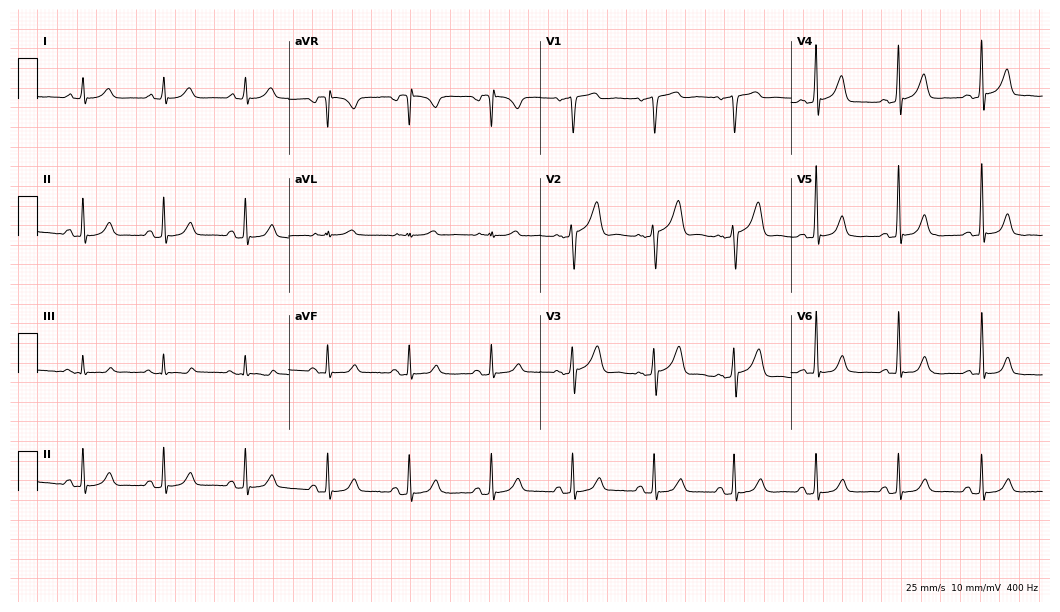
Electrocardiogram, a 58-year-old man. Overall reading on record: normal ECG.